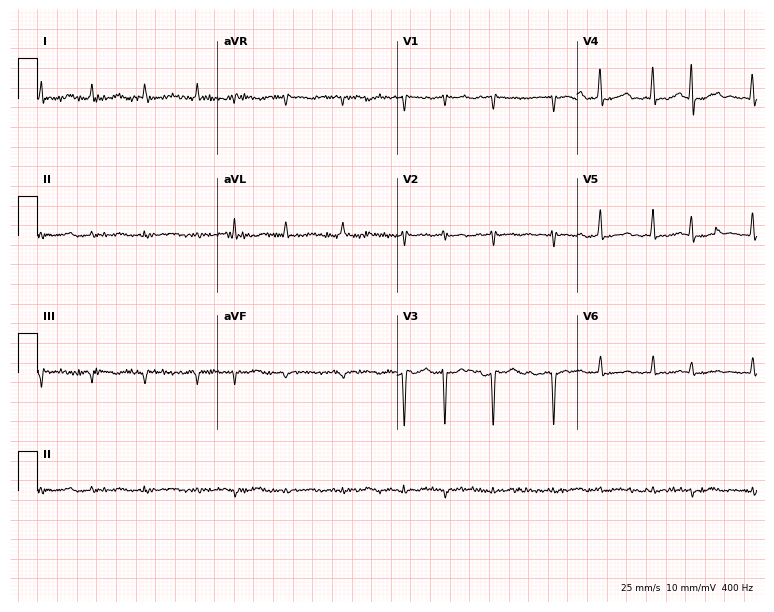
12-lead ECG from a 71-year-old female patient. Shows atrial fibrillation.